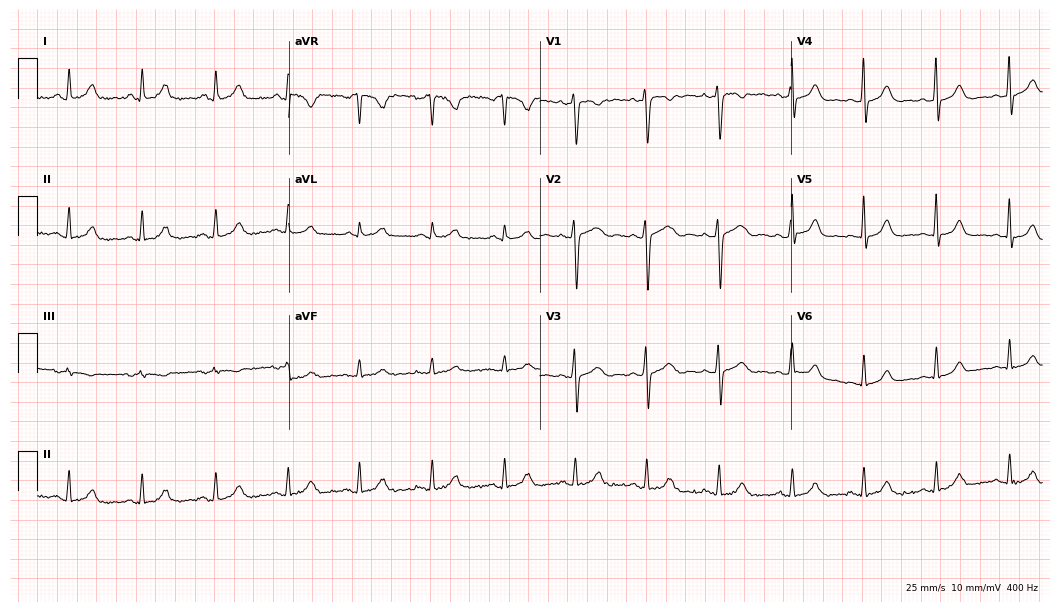
ECG — a 32-year-old female. Labelled as a normal ECG.